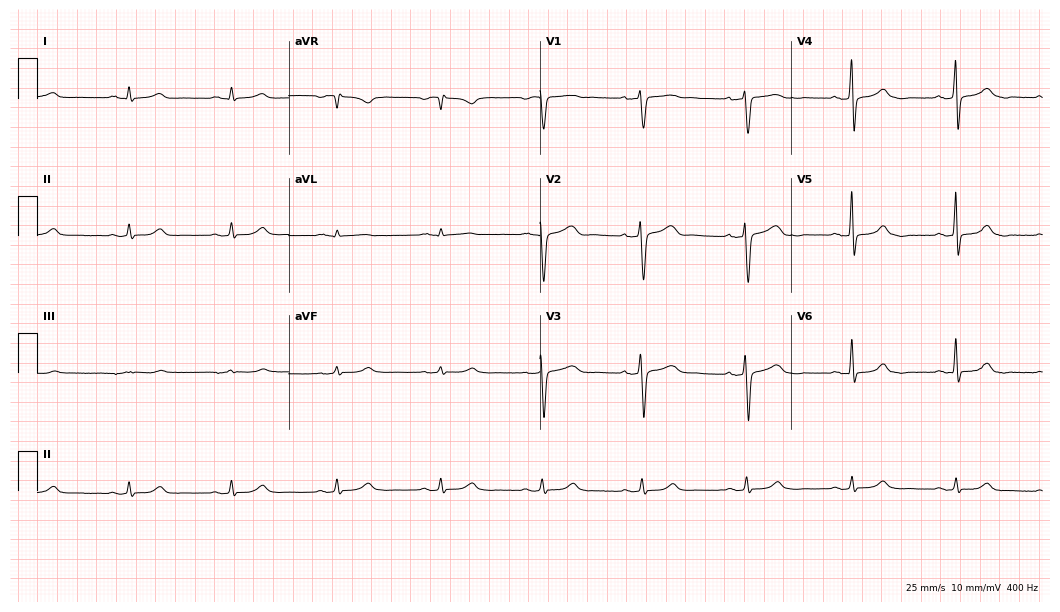
Standard 12-lead ECG recorded from a 69-year-old man (10.2-second recording at 400 Hz). Read as a normal ECG.